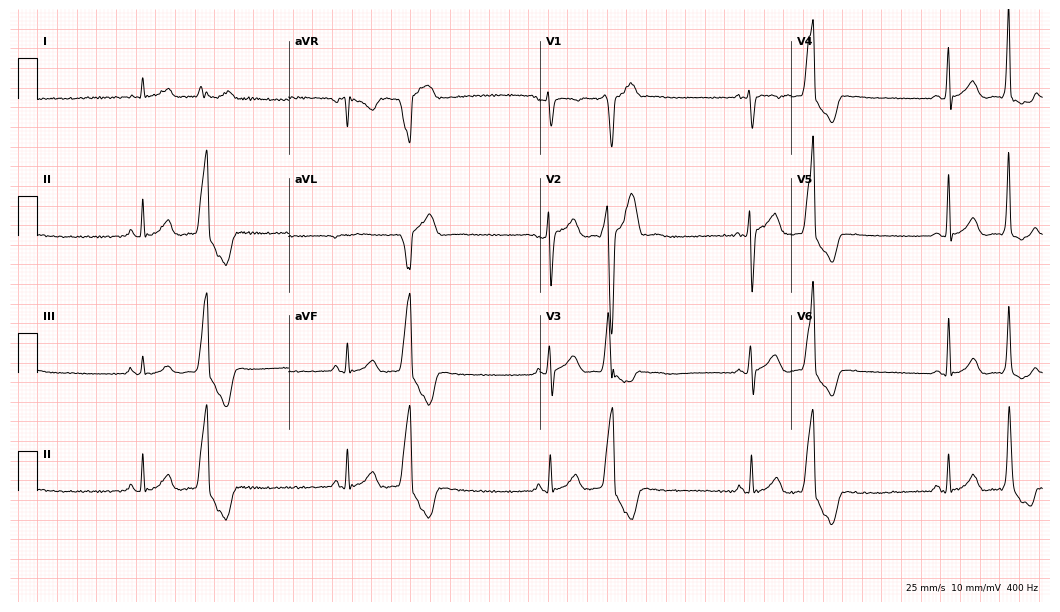
12-lead ECG from a 22-year-old male (10.2-second recording at 400 Hz). No first-degree AV block, right bundle branch block (RBBB), left bundle branch block (LBBB), sinus bradycardia, atrial fibrillation (AF) or sinus tachycardia recorded for this tracing. Findings outside these six are not listed.